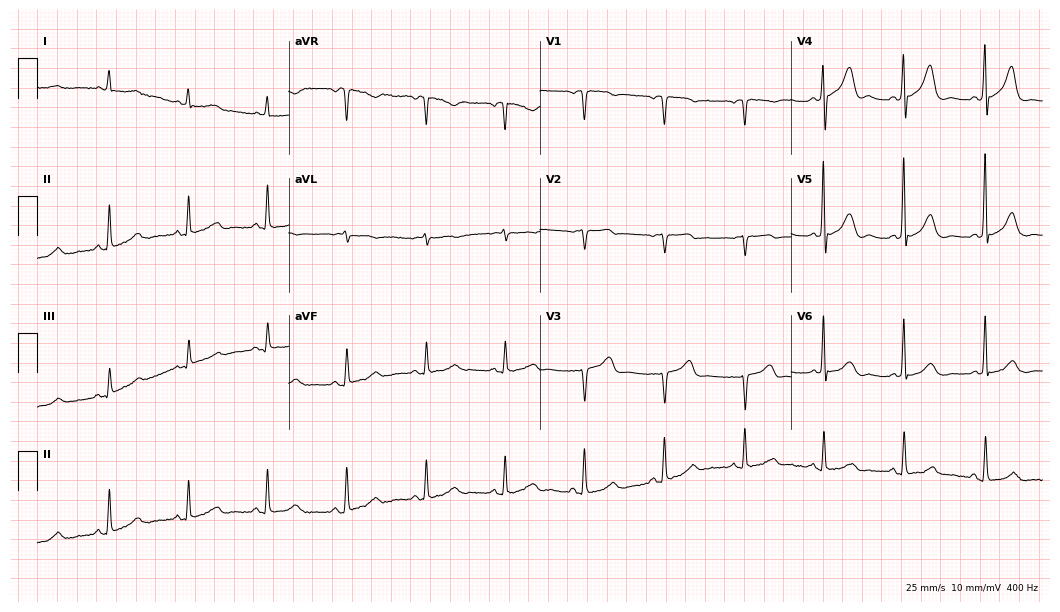
Electrocardiogram, a woman, 74 years old. Of the six screened findings (first-degree AV block, right bundle branch block (RBBB), left bundle branch block (LBBB), sinus bradycardia, atrial fibrillation (AF), sinus tachycardia), none is recorded. Only these six findings were labelled.